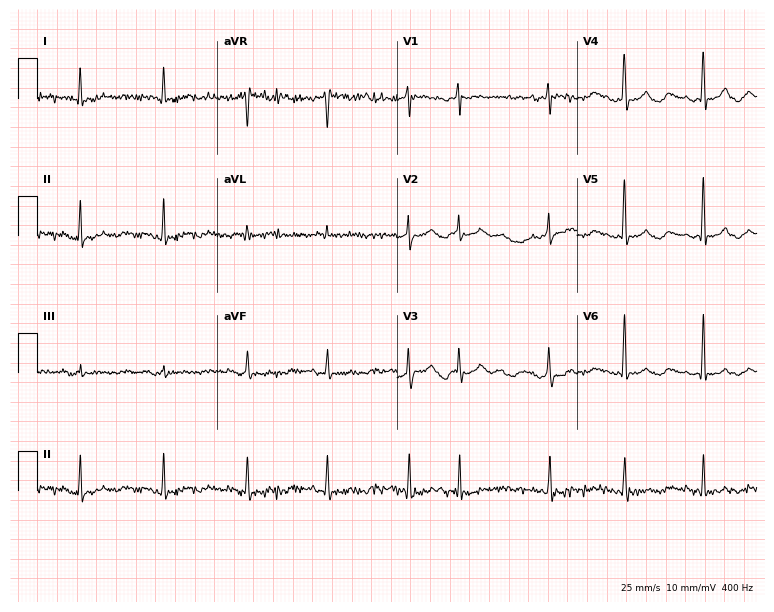
12-lead ECG from a woman, 67 years old. No first-degree AV block, right bundle branch block (RBBB), left bundle branch block (LBBB), sinus bradycardia, atrial fibrillation (AF) or sinus tachycardia recorded for this tracing. Only these six findings were labelled.